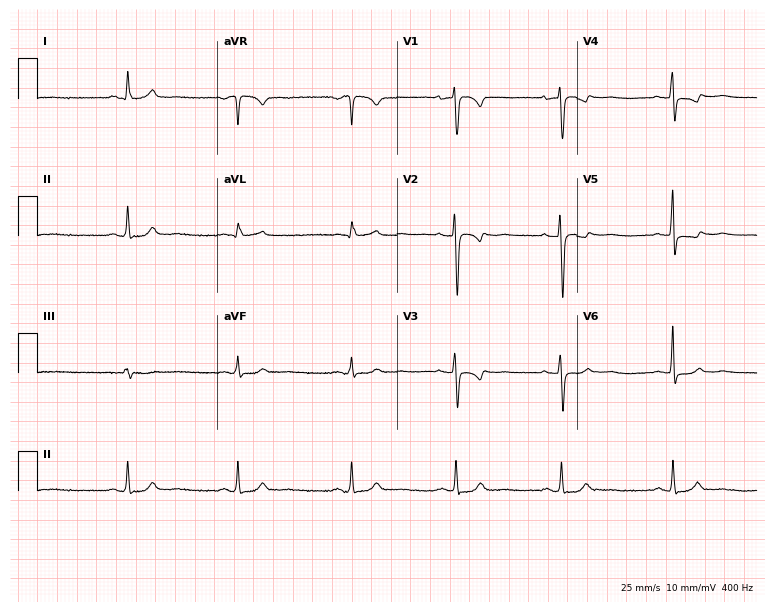
ECG (7.3-second recording at 400 Hz) — a female patient, 50 years old. Screened for six findings — first-degree AV block, right bundle branch block (RBBB), left bundle branch block (LBBB), sinus bradycardia, atrial fibrillation (AF), sinus tachycardia — none is recorded.